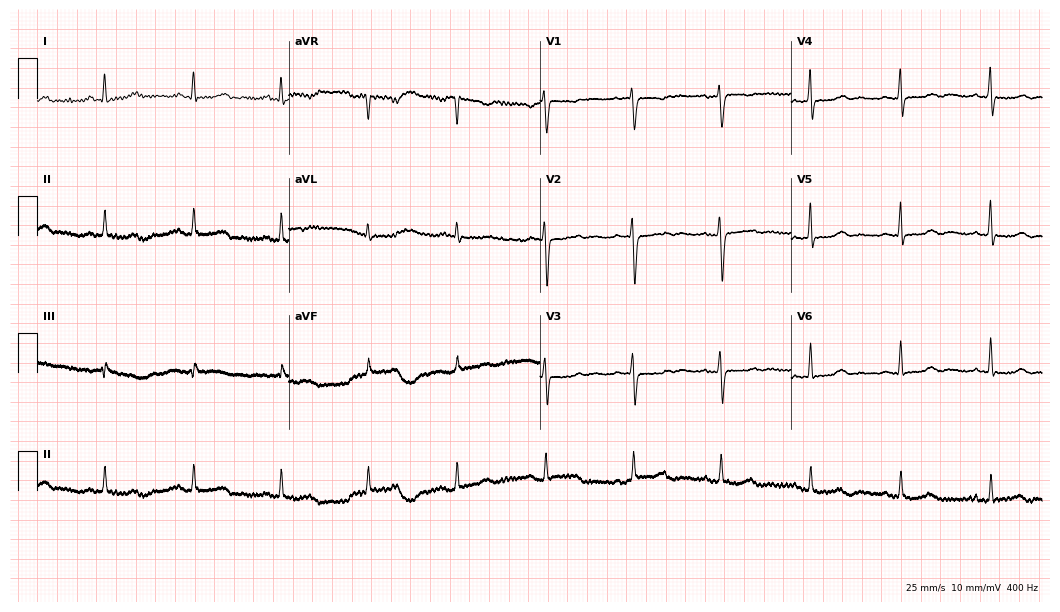
12-lead ECG (10.2-second recording at 400 Hz) from a female patient, 56 years old. Screened for six findings — first-degree AV block, right bundle branch block, left bundle branch block, sinus bradycardia, atrial fibrillation, sinus tachycardia — none is recorded. Only these six findings were labelled.